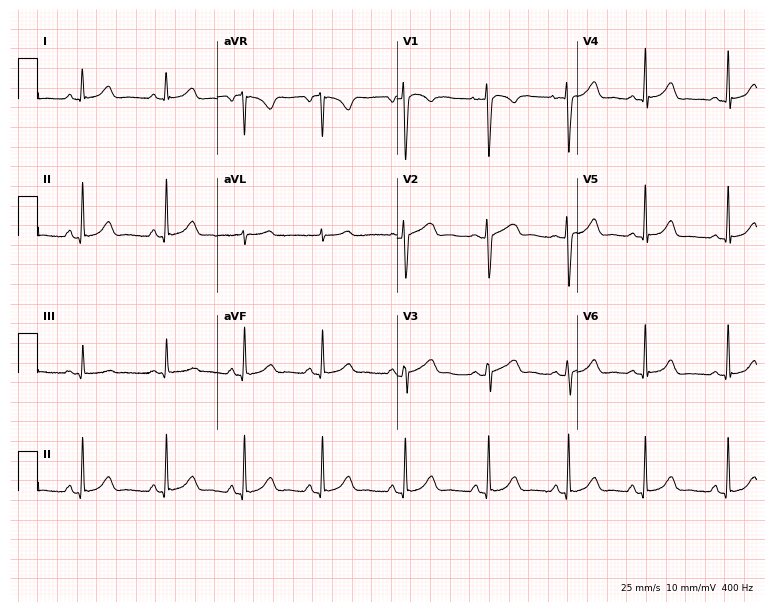
Resting 12-lead electrocardiogram. Patient: a woman, 35 years old. Read as a normal ECG.